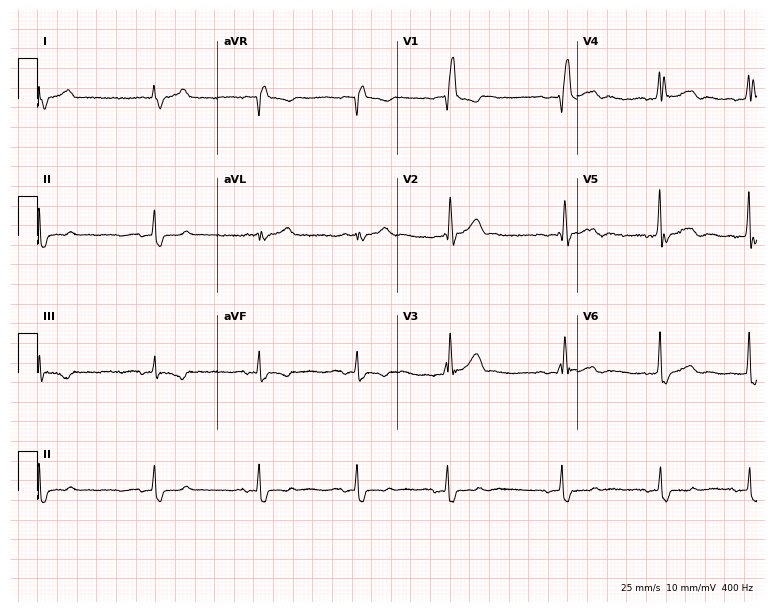
Standard 12-lead ECG recorded from a 77-year-old man (7.3-second recording at 400 Hz). The tracing shows right bundle branch block.